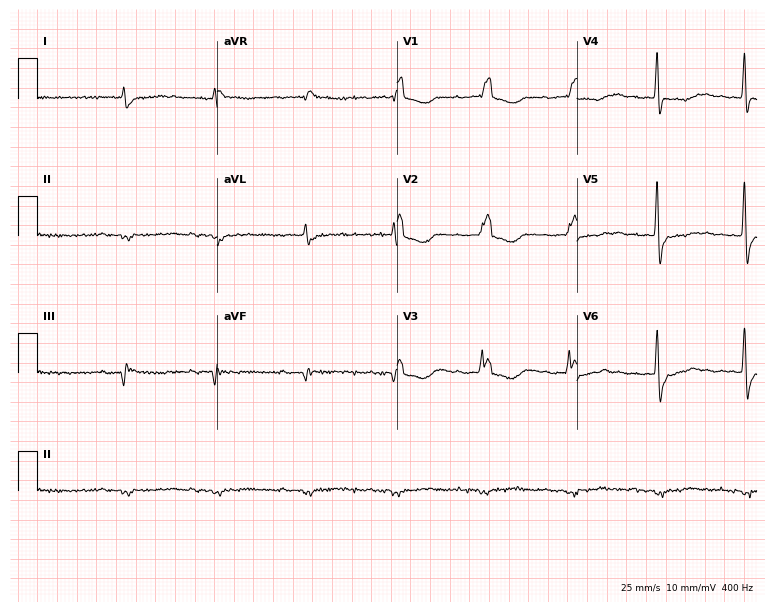
ECG (7.3-second recording at 400 Hz) — a man, 85 years old. Findings include right bundle branch block.